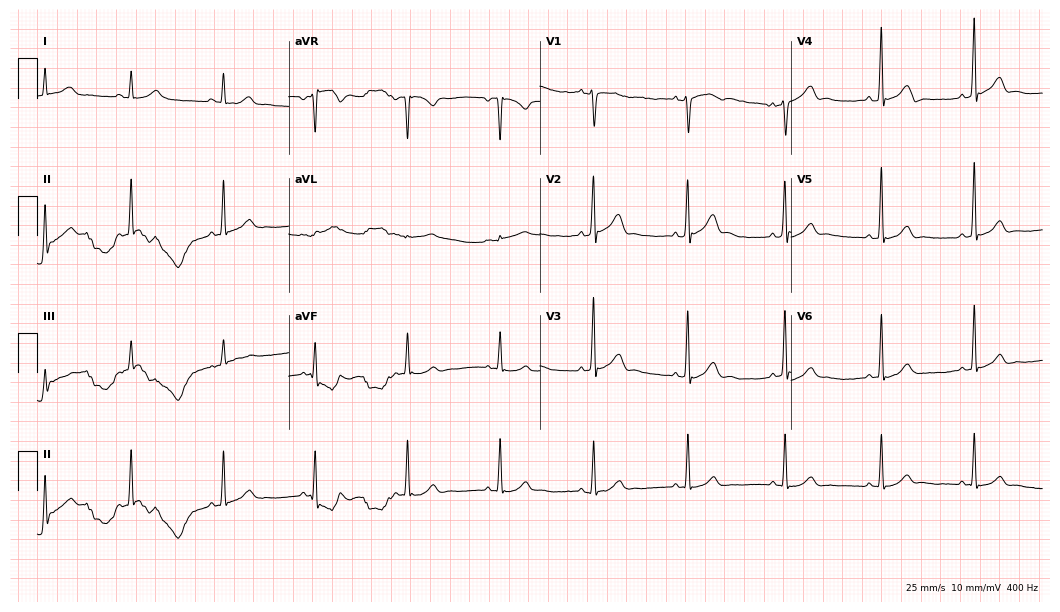
12-lead ECG from a 34-year-old male. Labelled as a normal ECG.